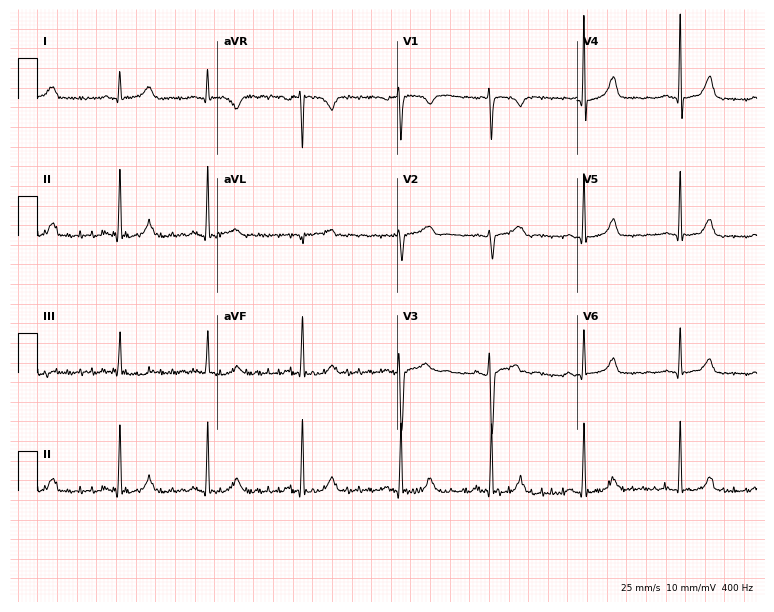
12-lead ECG from a female patient, 20 years old. Recorded interpretation: within normal limits.